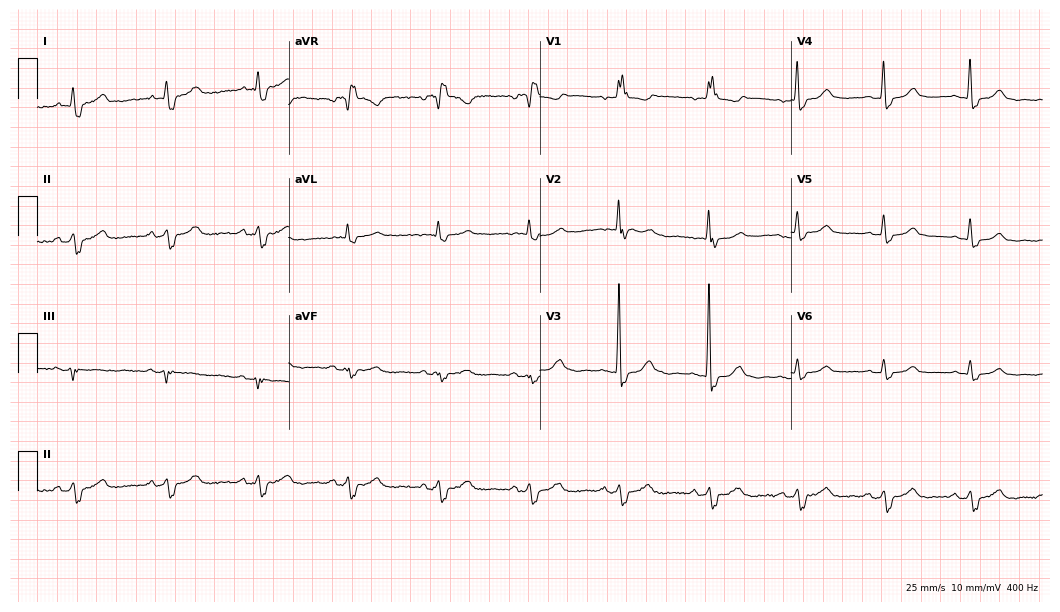
12-lead ECG (10.2-second recording at 400 Hz) from a female, 67 years old. Findings include right bundle branch block.